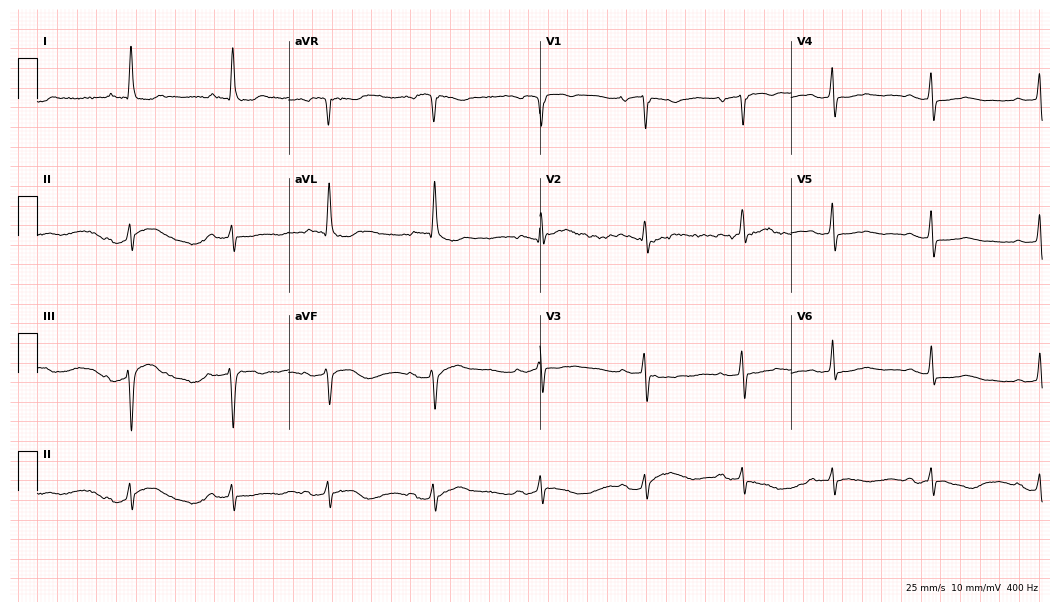
12-lead ECG from a 73-year-old female patient (10.2-second recording at 400 Hz). Shows first-degree AV block.